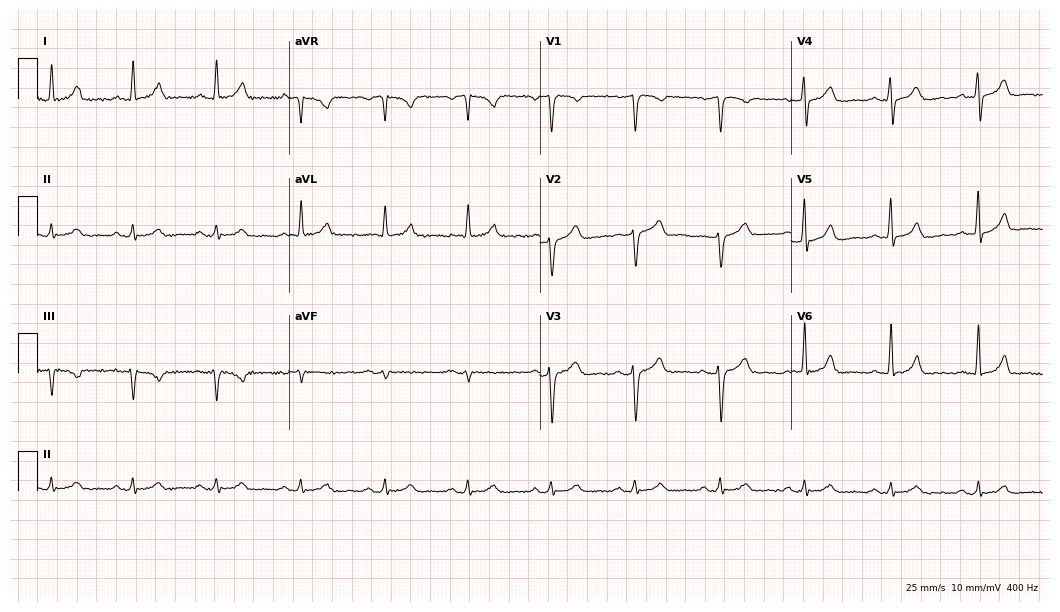
12-lead ECG from a man, 46 years old. Labelled as a normal ECG.